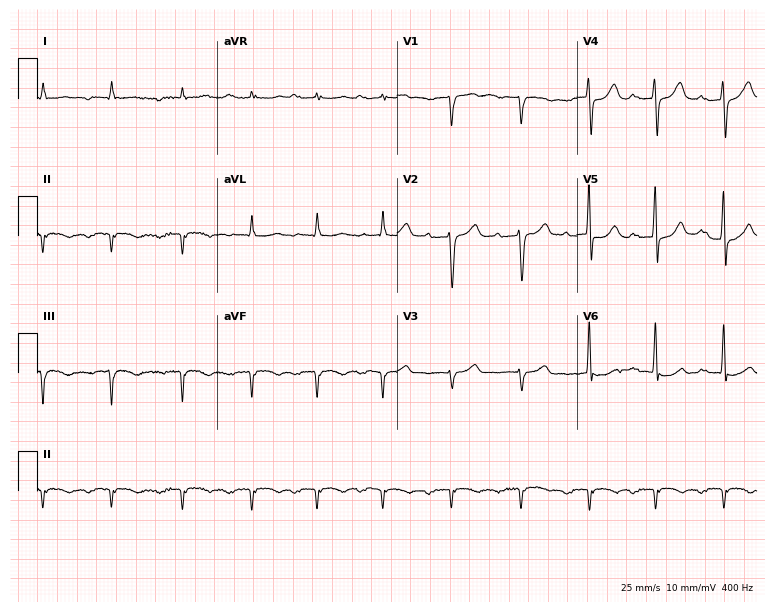
Resting 12-lead electrocardiogram. Patient: a 71-year-old man. None of these six findings is recorded: first-degree AV block, right bundle branch block, left bundle branch block, sinus bradycardia, atrial fibrillation, sinus tachycardia.